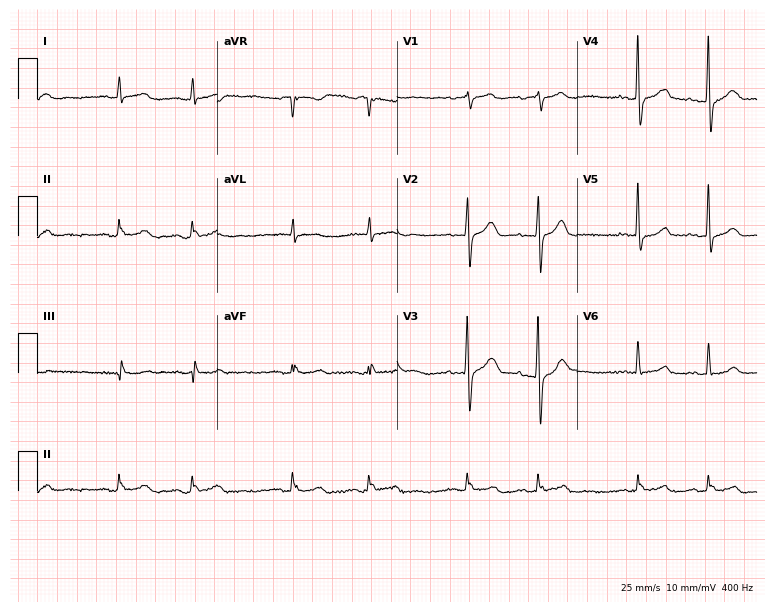
Electrocardiogram (7.3-second recording at 400 Hz), an 84-year-old male. Of the six screened findings (first-degree AV block, right bundle branch block, left bundle branch block, sinus bradycardia, atrial fibrillation, sinus tachycardia), none is recorded. Only these six findings were labelled.